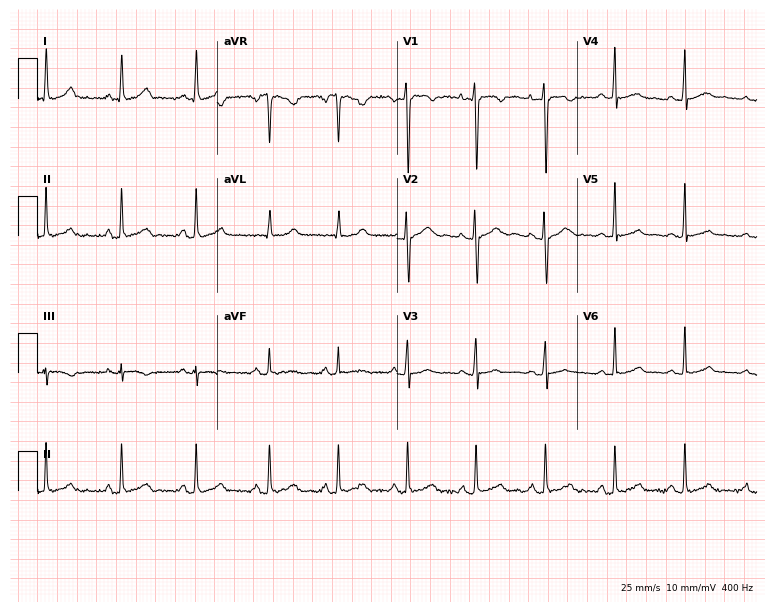
ECG — a woman, 20 years old. Labelled as a normal ECG.